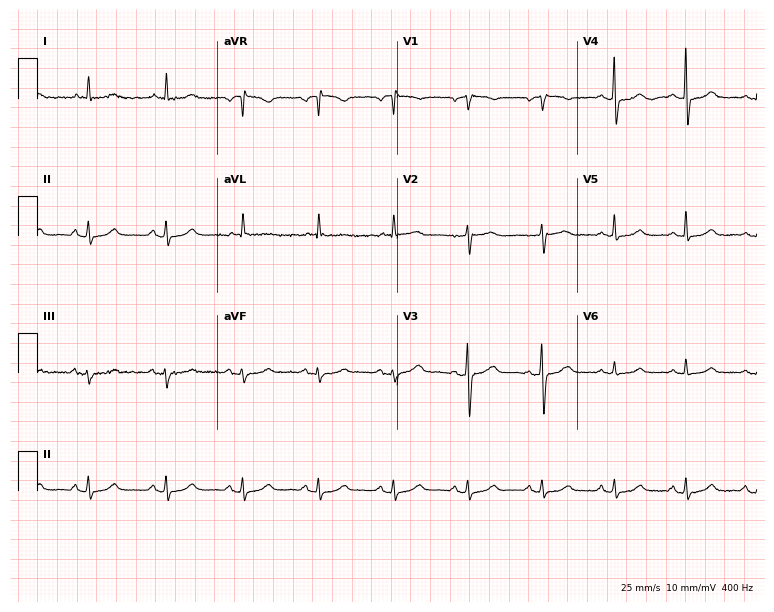
12-lead ECG from a woman, 74 years old. Labelled as a normal ECG.